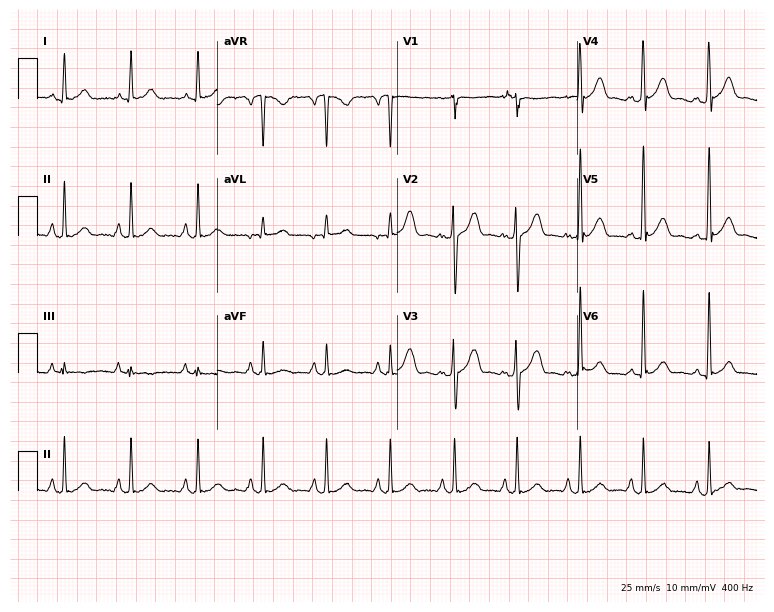
12-lead ECG from a man, 33 years old. Screened for six findings — first-degree AV block, right bundle branch block (RBBB), left bundle branch block (LBBB), sinus bradycardia, atrial fibrillation (AF), sinus tachycardia — none is recorded. Other findings, if any, are not listed.